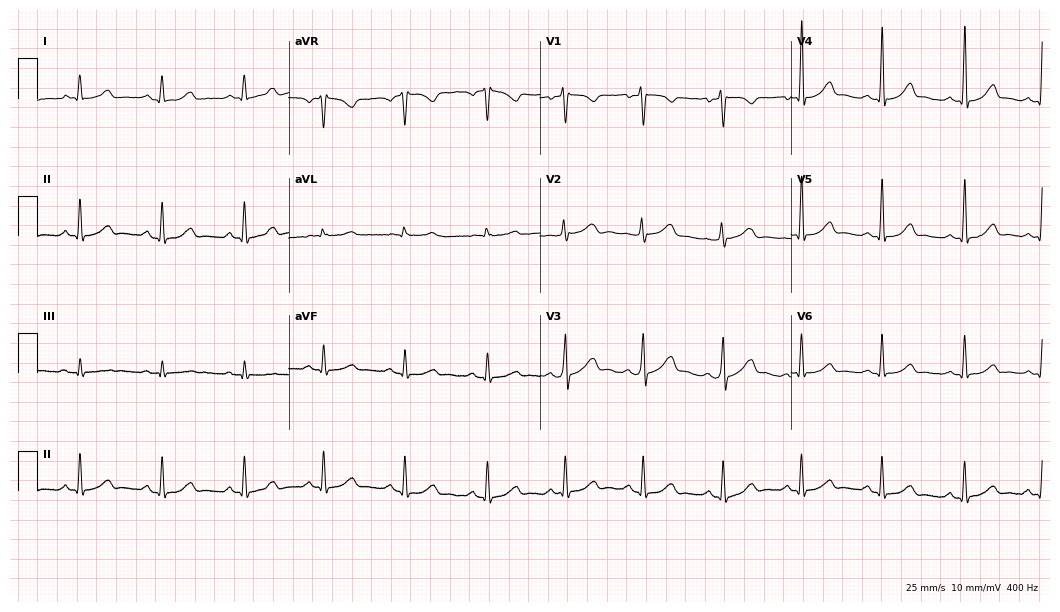
12-lead ECG from a 35-year-old woman (10.2-second recording at 400 Hz). Recorded interpretation: within normal limits.